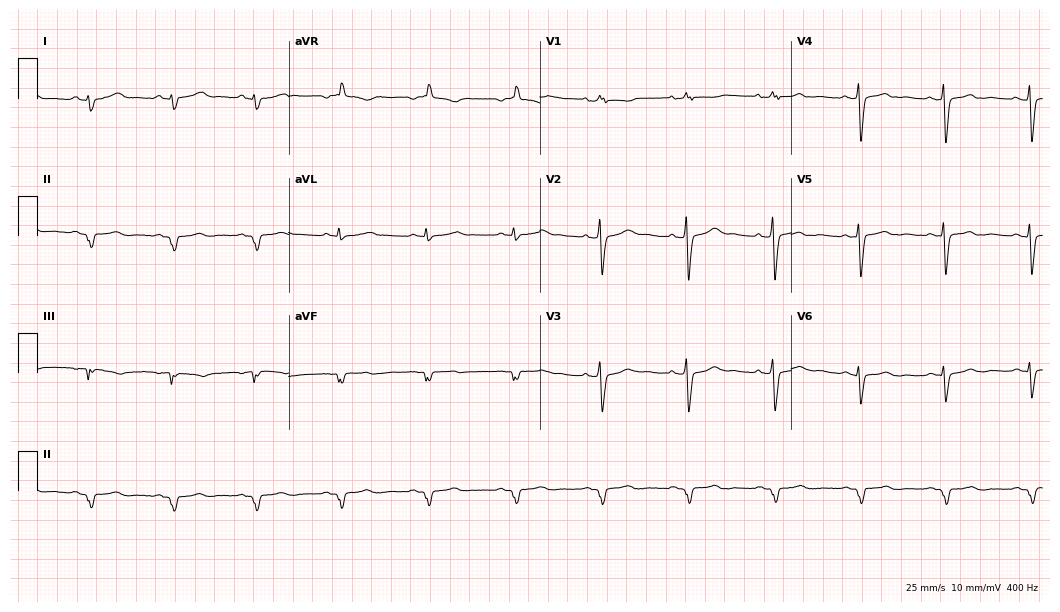
Resting 12-lead electrocardiogram (10.2-second recording at 400 Hz). Patient: a woman, 63 years old. None of these six findings is recorded: first-degree AV block, right bundle branch block, left bundle branch block, sinus bradycardia, atrial fibrillation, sinus tachycardia.